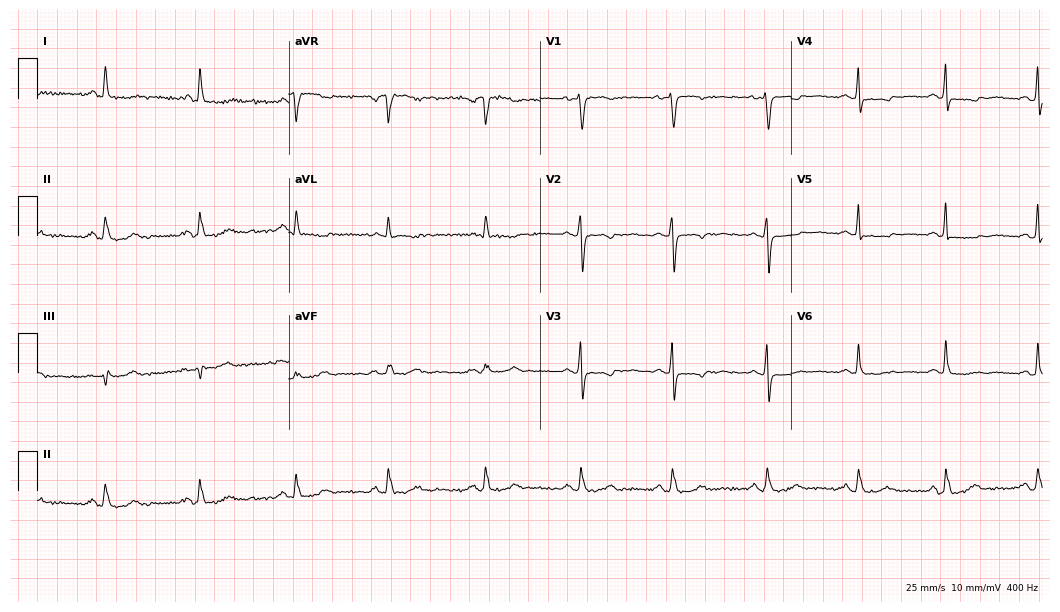
Standard 12-lead ECG recorded from a woman, 50 years old (10.2-second recording at 400 Hz). Read as a normal ECG.